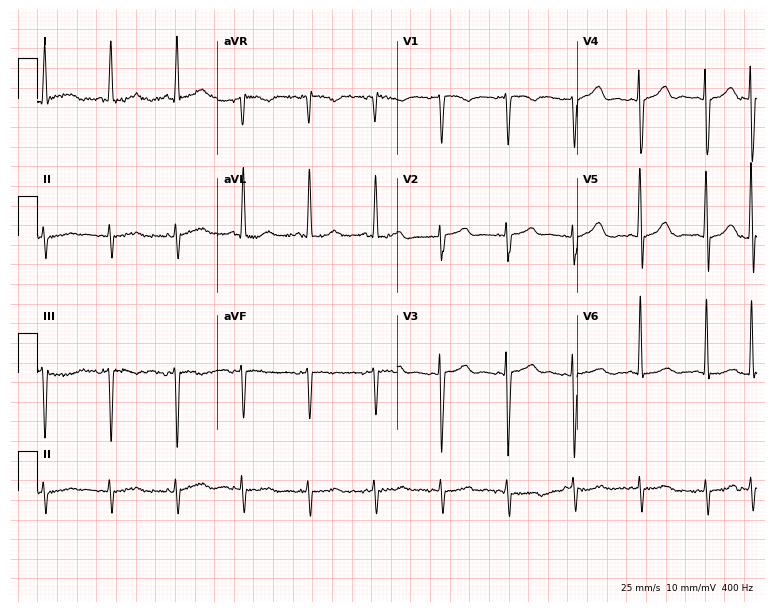
Standard 12-lead ECG recorded from a female patient, 84 years old. None of these six findings is recorded: first-degree AV block, right bundle branch block, left bundle branch block, sinus bradycardia, atrial fibrillation, sinus tachycardia.